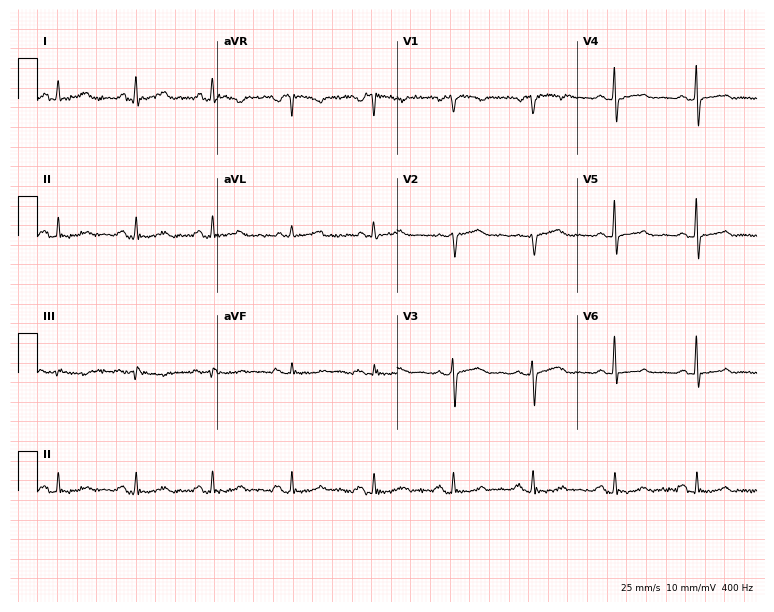
Standard 12-lead ECG recorded from a female patient, 59 years old. Read as a normal ECG.